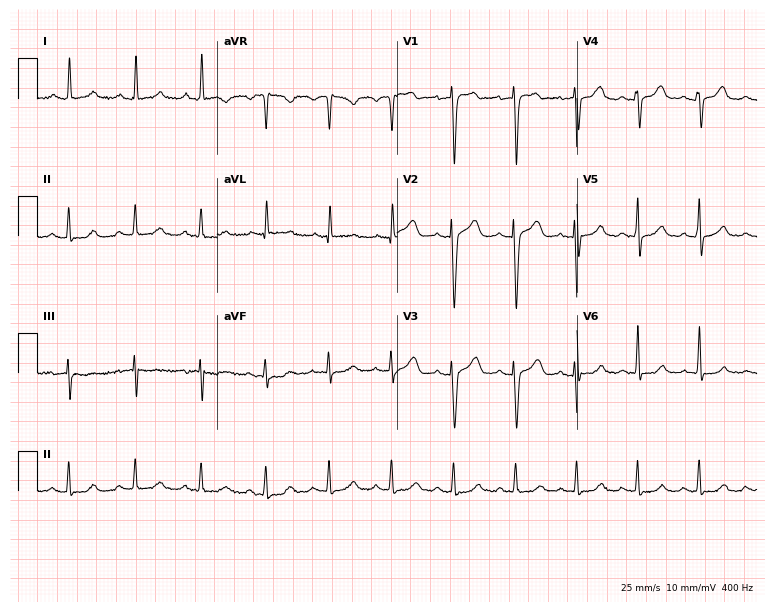
12-lead ECG from a female patient, 64 years old. Recorded interpretation: within normal limits.